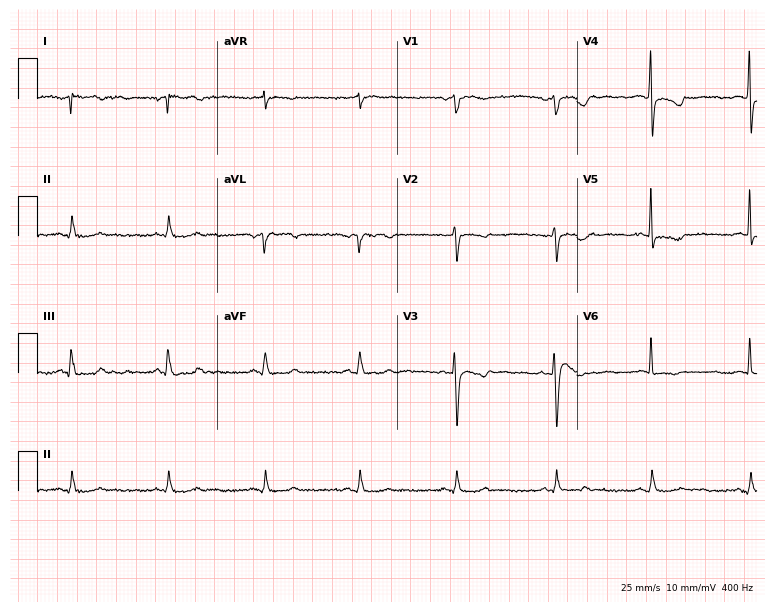
Electrocardiogram (7.3-second recording at 400 Hz), a 51-year-old woman. Of the six screened findings (first-degree AV block, right bundle branch block (RBBB), left bundle branch block (LBBB), sinus bradycardia, atrial fibrillation (AF), sinus tachycardia), none is recorded.